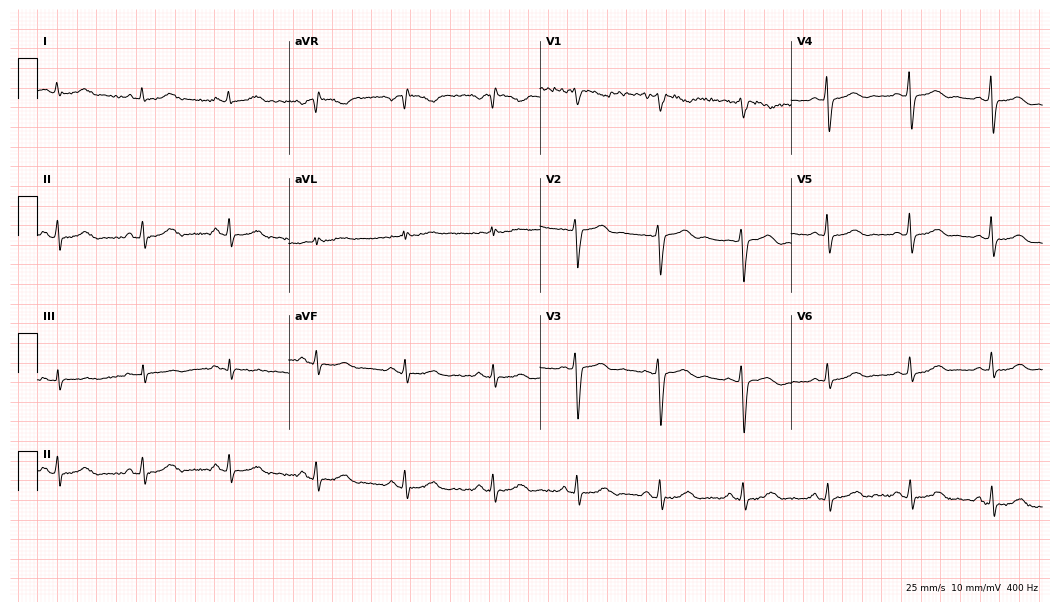
ECG (10.2-second recording at 400 Hz) — a 47-year-old woman. Screened for six findings — first-degree AV block, right bundle branch block (RBBB), left bundle branch block (LBBB), sinus bradycardia, atrial fibrillation (AF), sinus tachycardia — none is recorded.